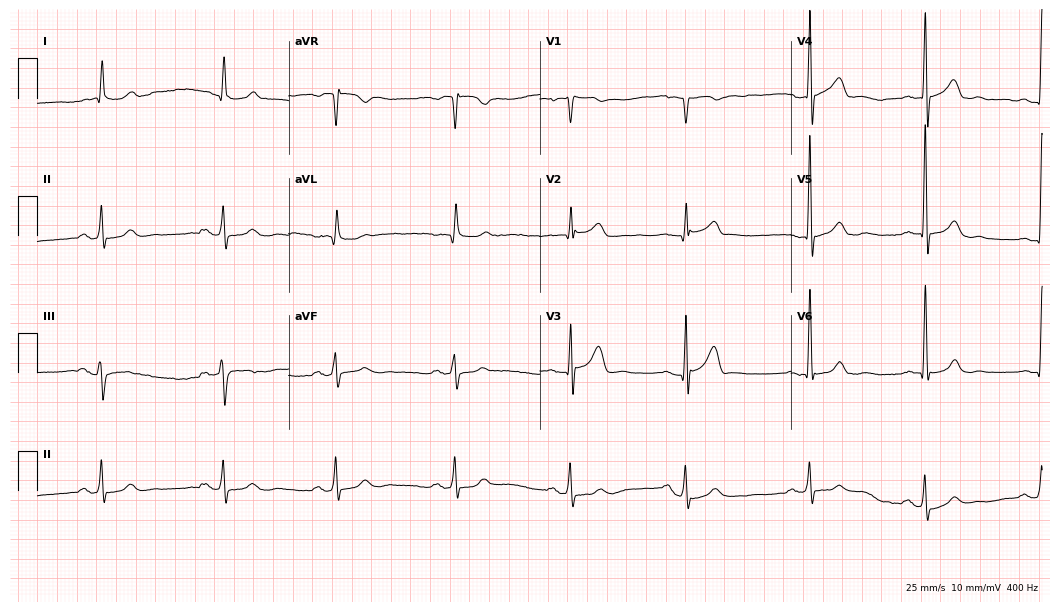
12-lead ECG from a man, 59 years old. Shows sinus bradycardia (a sinus rate of 50 beats per minute or less).